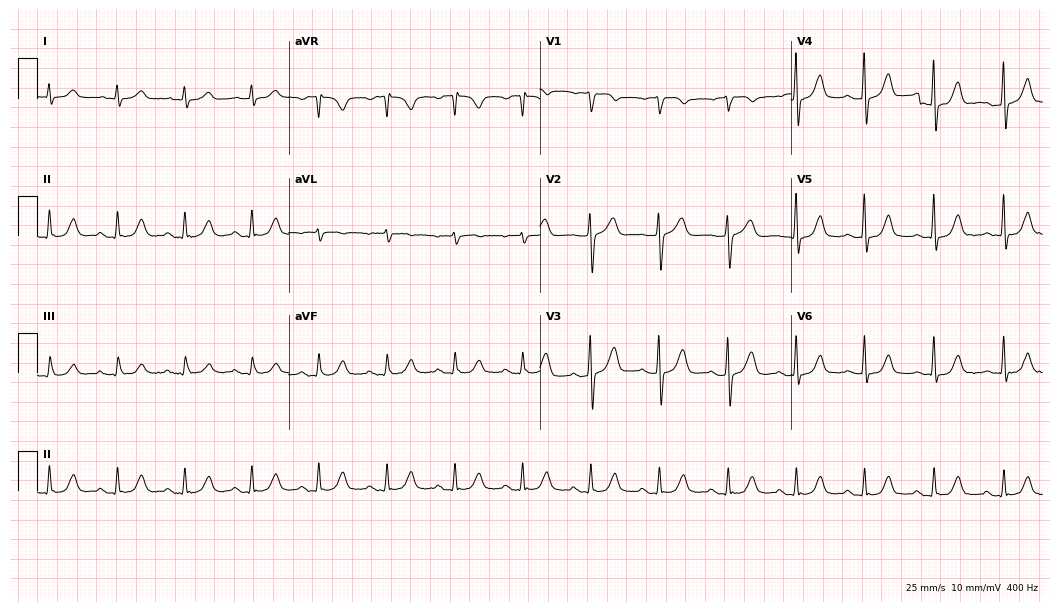
12-lead ECG from a man, 82 years old (10.2-second recording at 400 Hz). Recorded interpretation: within normal limits.